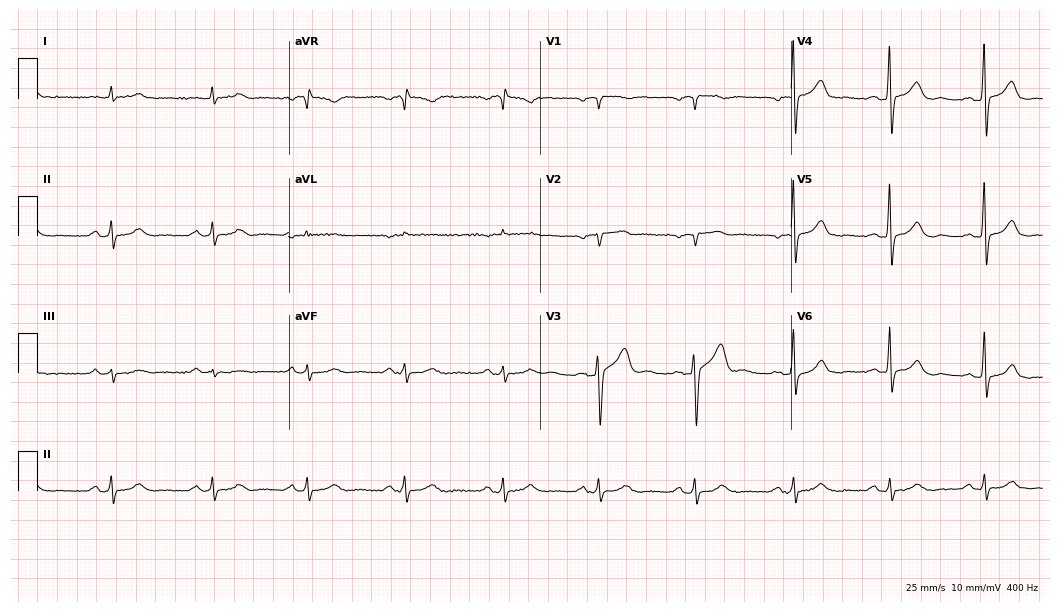
12-lead ECG from a man, 60 years old (10.2-second recording at 400 Hz). Recorded interpretation: within normal limits.